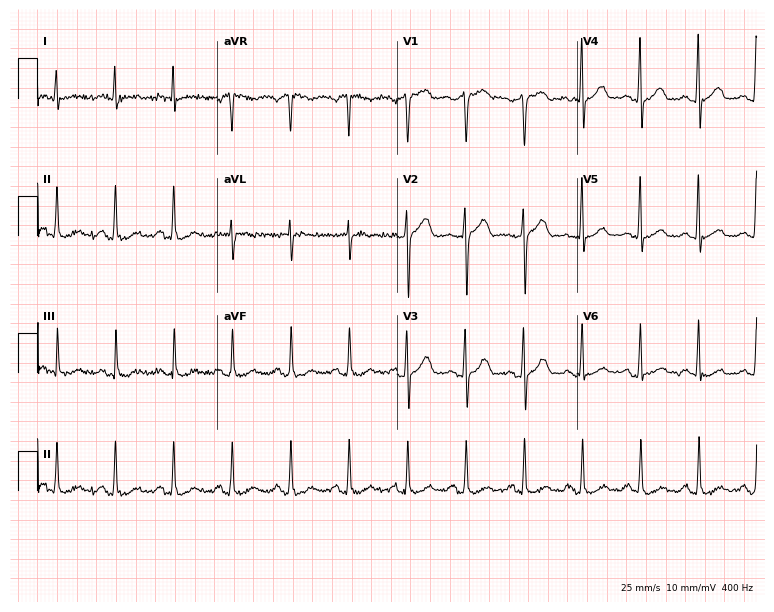
Standard 12-lead ECG recorded from a 58-year-old man. The tracing shows sinus tachycardia (a sinus rate of 100 beats per minute or more).